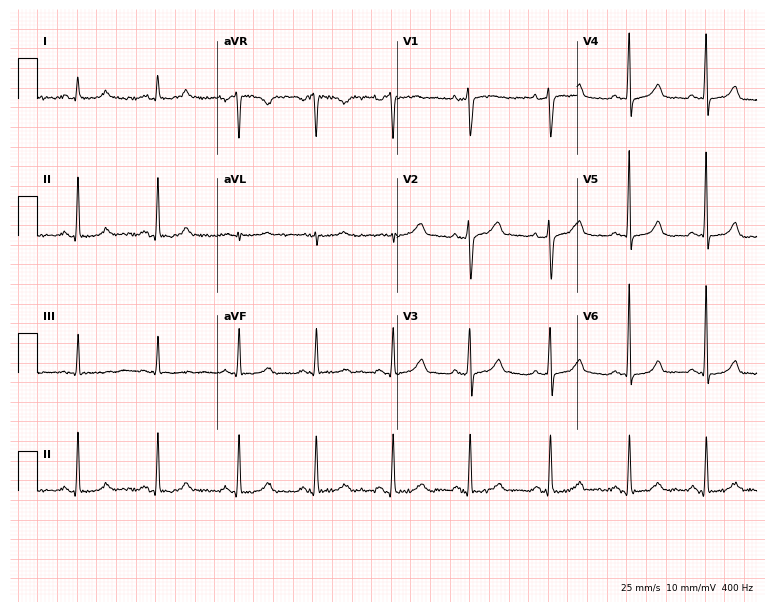
Standard 12-lead ECG recorded from a 45-year-old female (7.3-second recording at 400 Hz). None of these six findings is recorded: first-degree AV block, right bundle branch block (RBBB), left bundle branch block (LBBB), sinus bradycardia, atrial fibrillation (AF), sinus tachycardia.